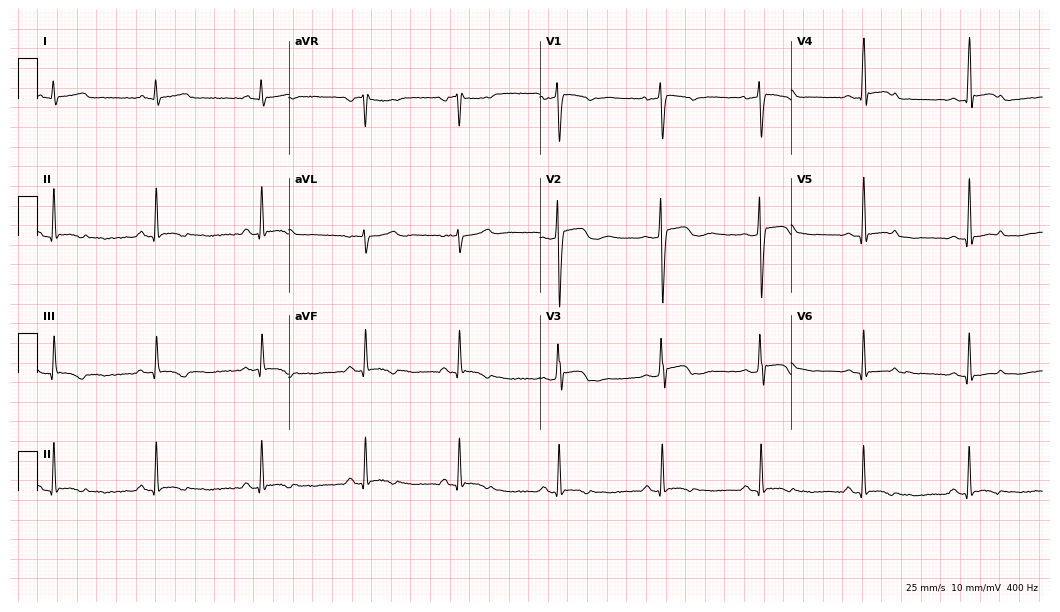
12-lead ECG from an 18-year-old male (10.2-second recording at 400 Hz). No first-degree AV block, right bundle branch block (RBBB), left bundle branch block (LBBB), sinus bradycardia, atrial fibrillation (AF) or sinus tachycardia recorded for this tracing. Other findings, if any, are not listed.